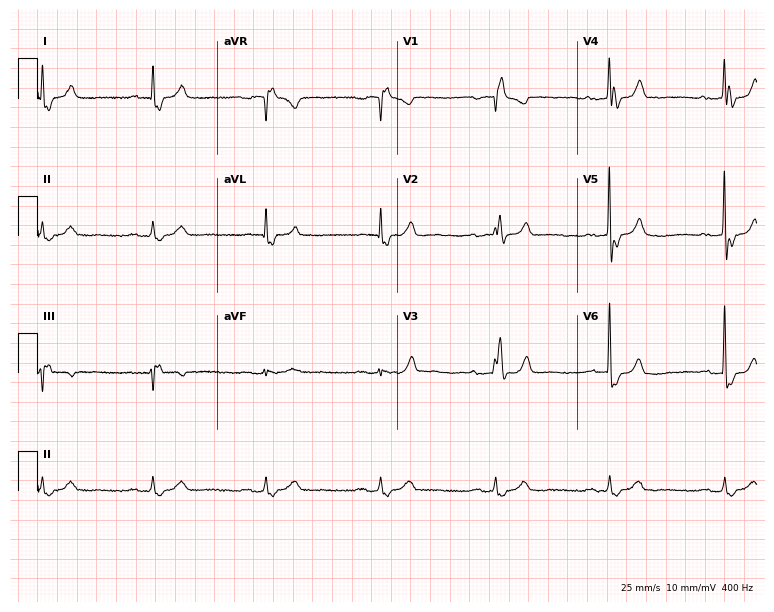
Electrocardiogram, a 75-year-old male patient. Of the six screened findings (first-degree AV block, right bundle branch block, left bundle branch block, sinus bradycardia, atrial fibrillation, sinus tachycardia), none is recorded.